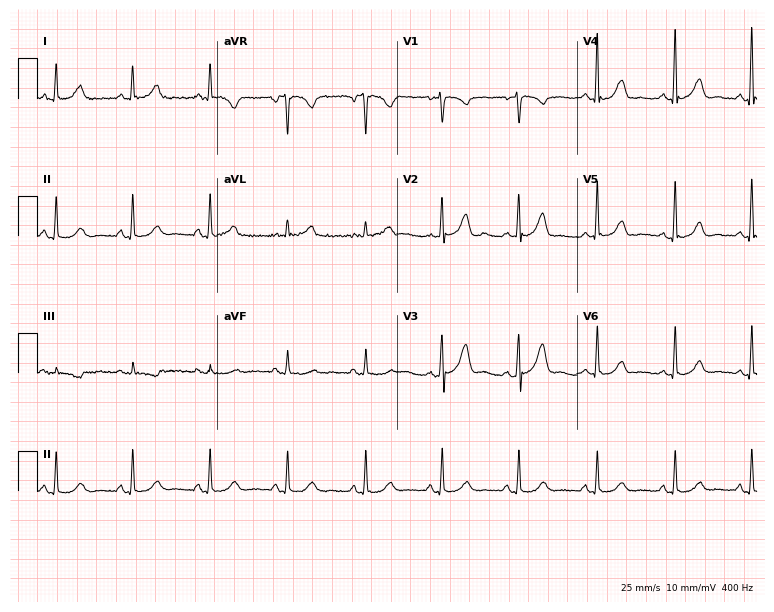
12-lead ECG (7.3-second recording at 400 Hz) from a female patient, 56 years old. Screened for six findings — first-degree AV block, right bundle branch block, left bundle branch block, sinus bradycardia, atrial fibrillation, sinus tachycardia — none is recorded. Only these six findings were labelled.